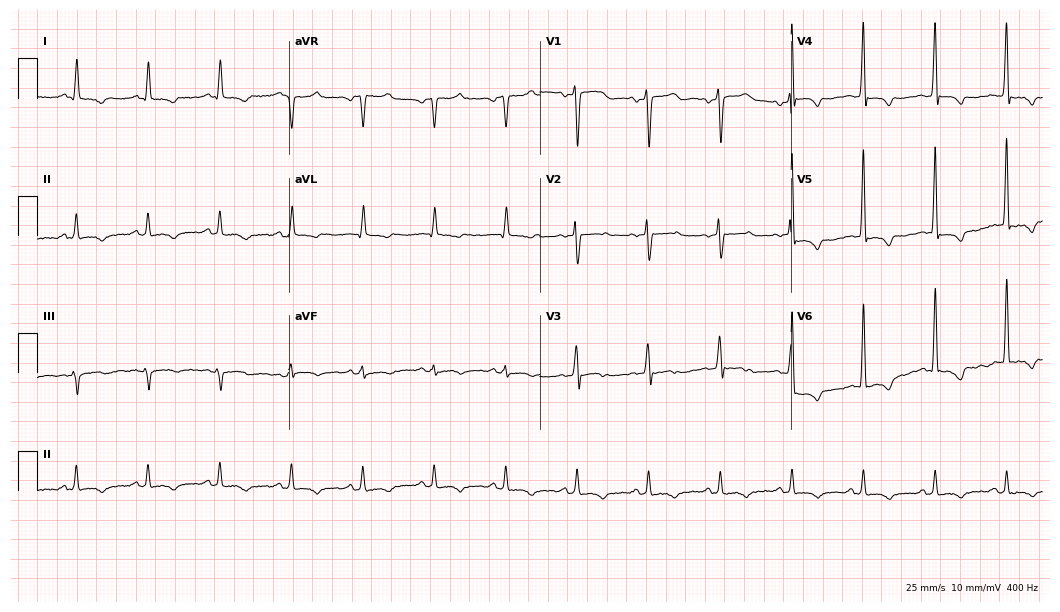
12-lead ECG (10.2-second recording at 400 Hz) from a male patient, 61 years old. Screened for six findings — first-degree AV block, right bundle branch block, left bundle branch block, sinus bradycardia, atrial fibrillation, sinus tachycardia — none is recorded.